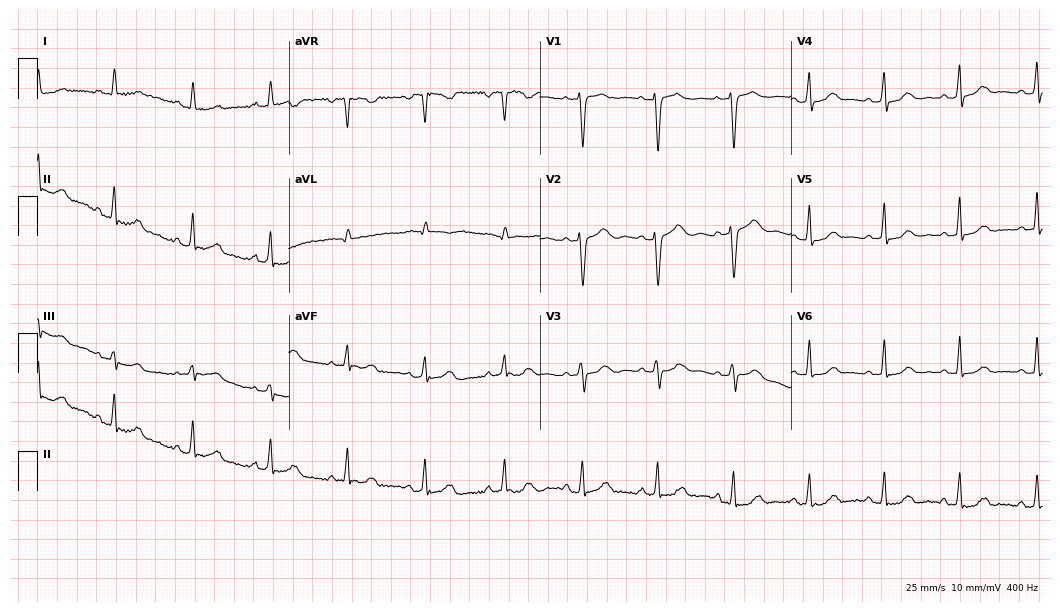
Standard 12-lead ECG recorded from a female, 52 years old. None of these six findings is recorded: first-degree AV block, right bundle branch block, left bundle branch block, sinus bradycardia, atrial fibrillation, sinus tachycardia. Only these six findings were labelled.